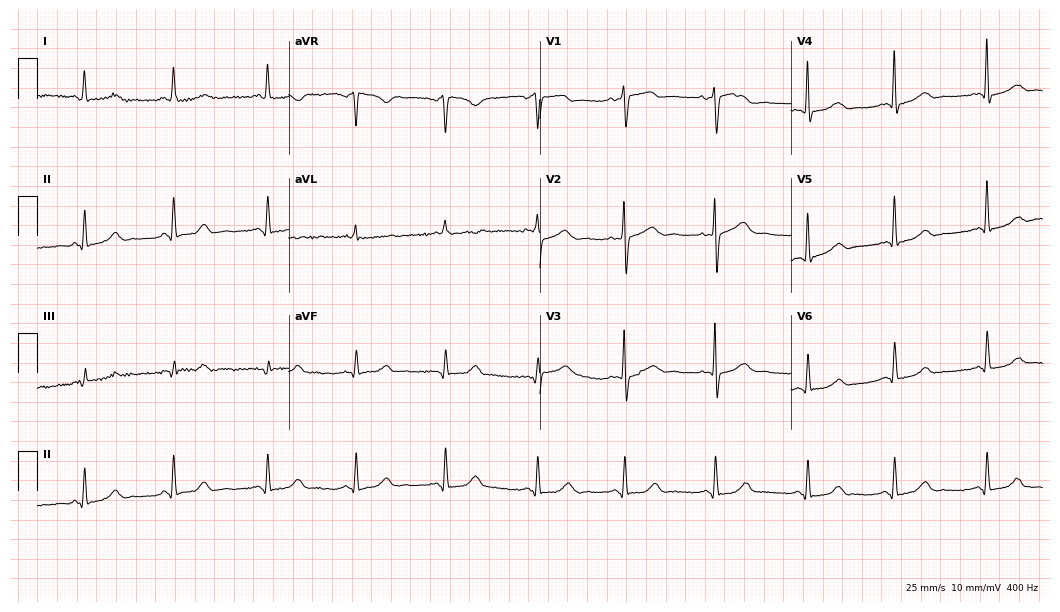
Electrocardiogram, a 54-year-old female patient. Overall reading on record: normal ECG.